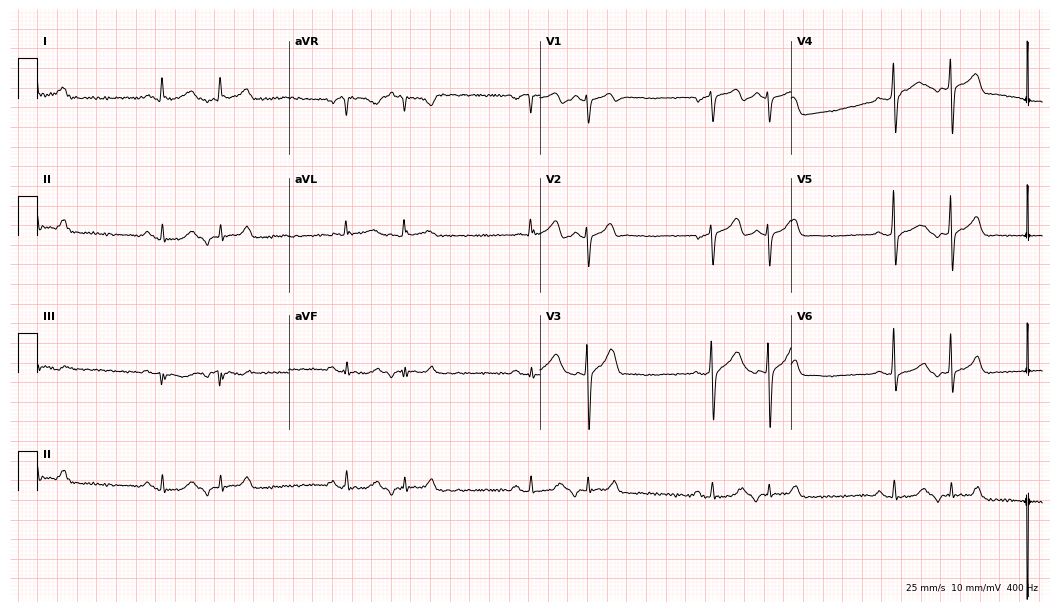
Electrocardiogram, a 62-year-old male. Overall reading on record: normal ECG.